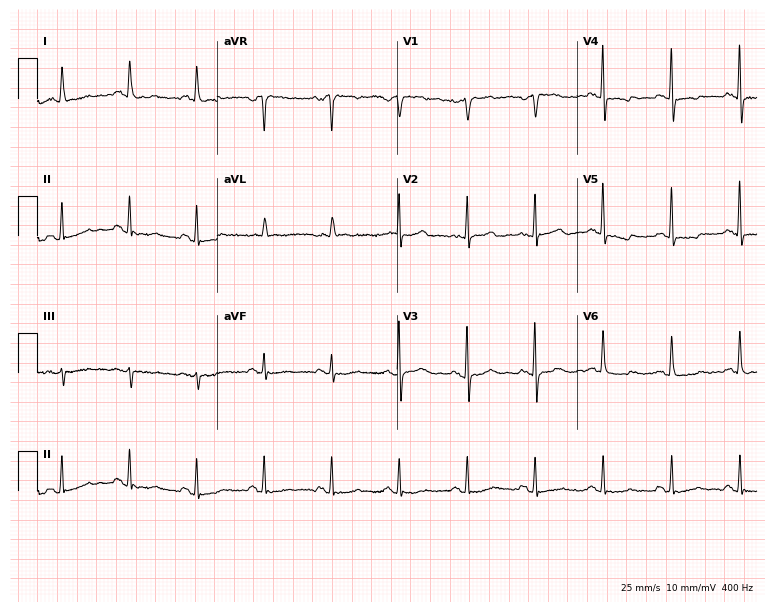
ECG — a woman, 77 years old. Labelled as a normal ECG.